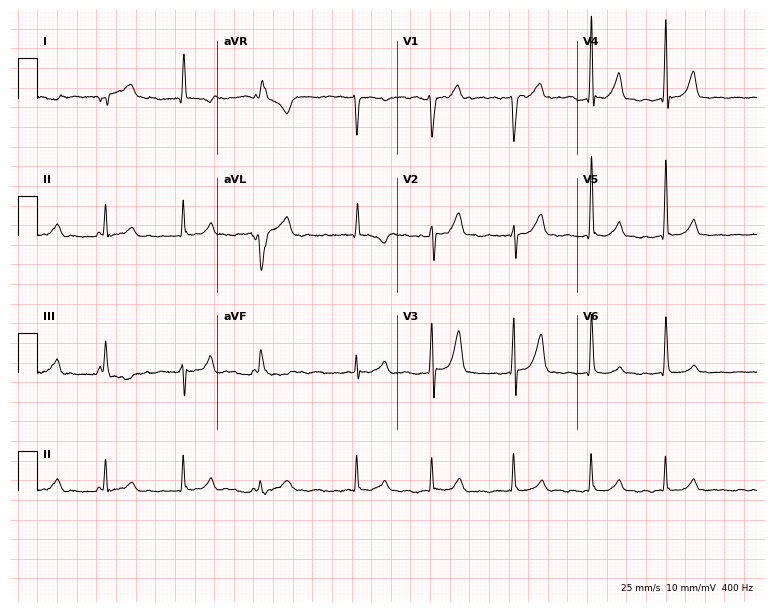
12-lead ECG from a 70-year-old male (7.3-second recording at 400 Hz). Shows atrial fibrillation.